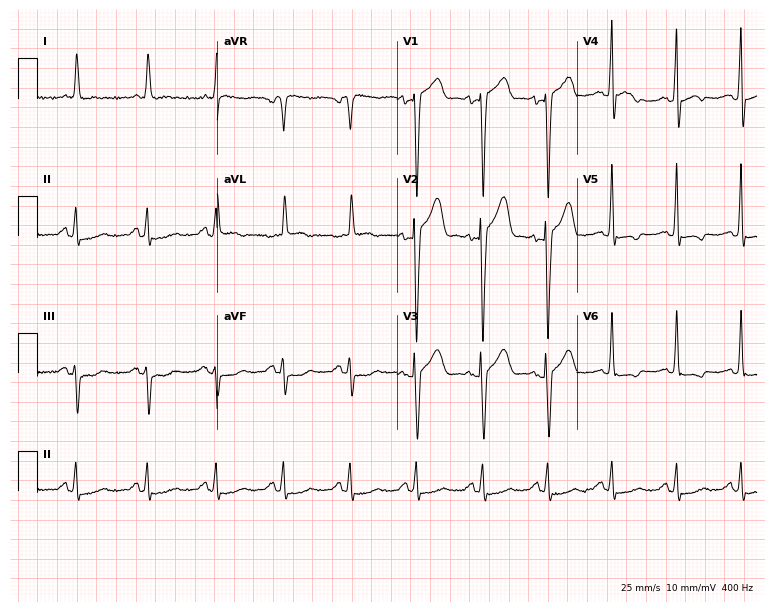
Resting 12-lead electrocardiogram. Patient: a man, 80 years old. None of these six findings is recorded: first-degree AV block, right bundle branch block, left bundle branch block, sinus bradycardia, atrial fibrillation, sinus tachycardia.